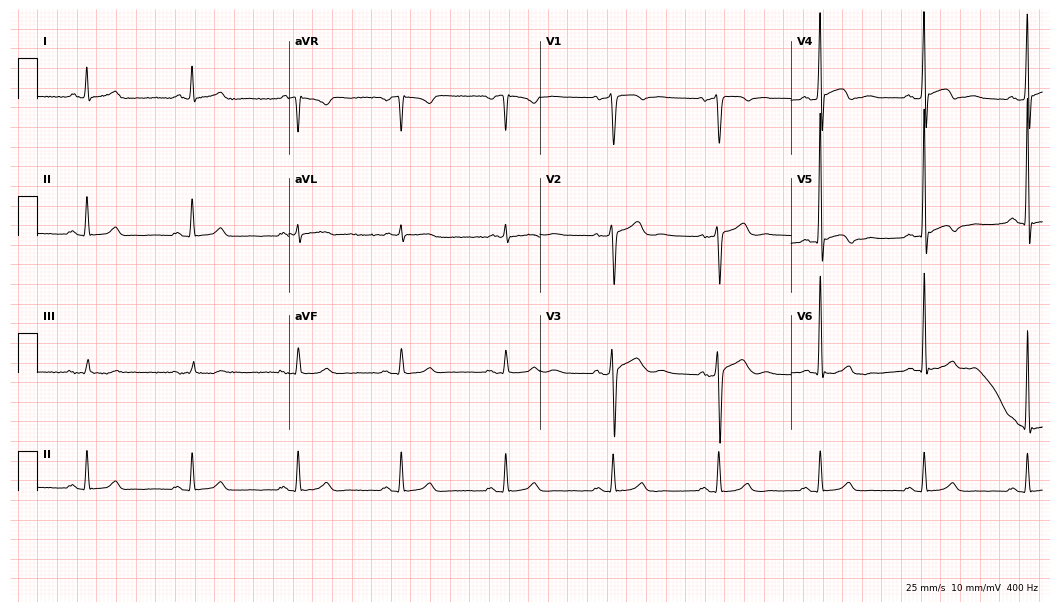
Electrocardiogram, a male, 59 years old. Overall reading on record: normal ECG.